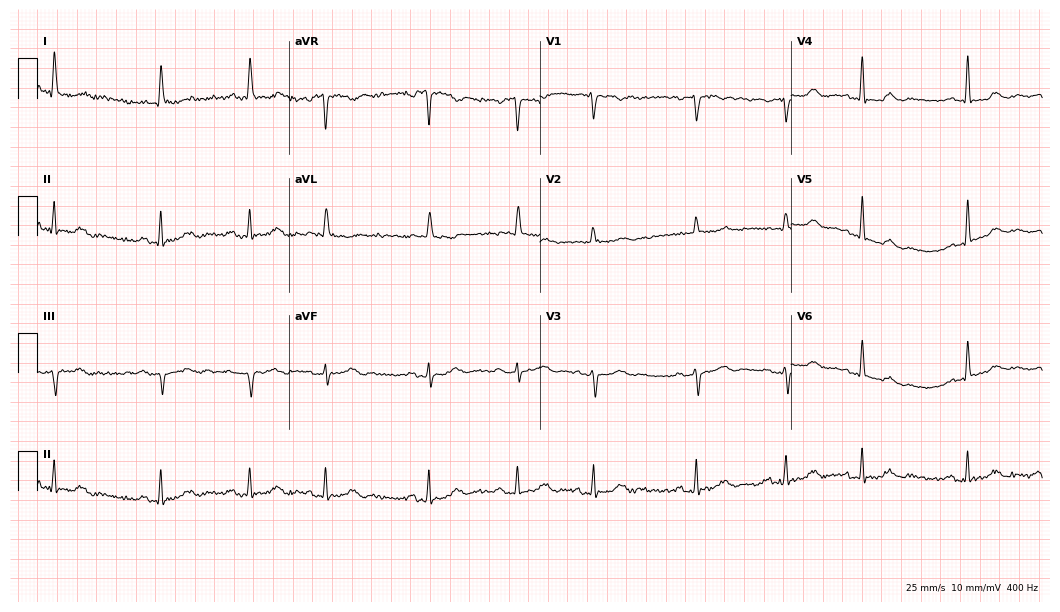
Standard 12-lead ECG recorded from an 86-year-old woman (10.2-second recording at 400 Hz). None of these six findings is recorded: first-degree AV block, right bundle branch block (RBBB), left bundle branch block (LBBB), sinus bradycardia, atrial fibrillation (AF), sinus tachycardia.